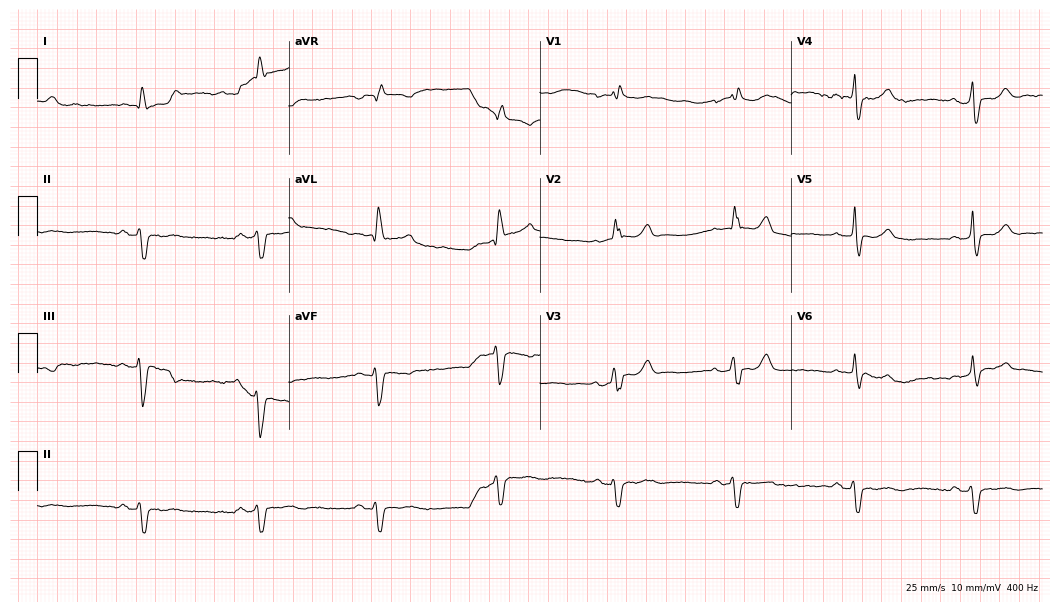
Resting 12-lead electrocardiogram. Patient: a 60-year-old male. The tracing shows right bundle branch block, sinus bradycardia (a sinus rate of 50 beats per minute or less).